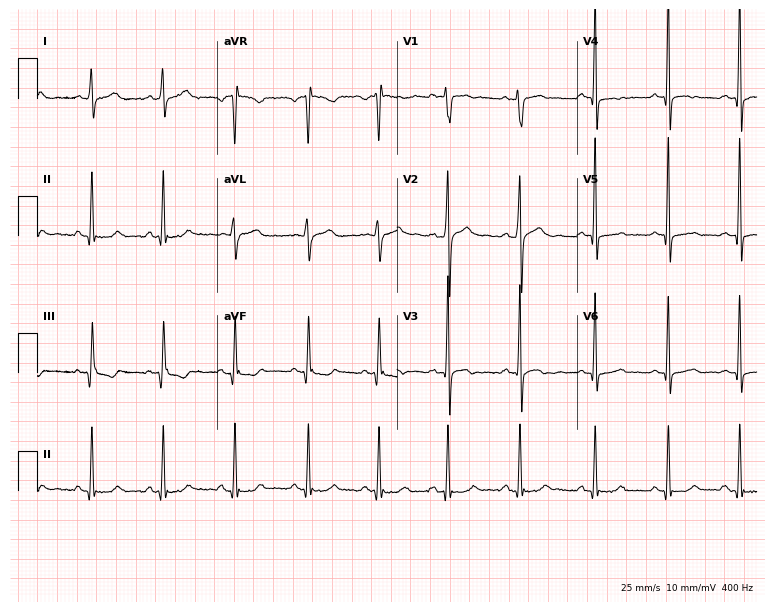
12-lead ECG (7.3-second recording at 400 Hz) from a male patient, 19 years old. Screened for six findings — first-degree AV block, right bundle branch block (RBBB), left bundle branch block (LBBB), sinus bradycardia, atrial fibrillation (AF), sinus tachycardia — none is recorded.